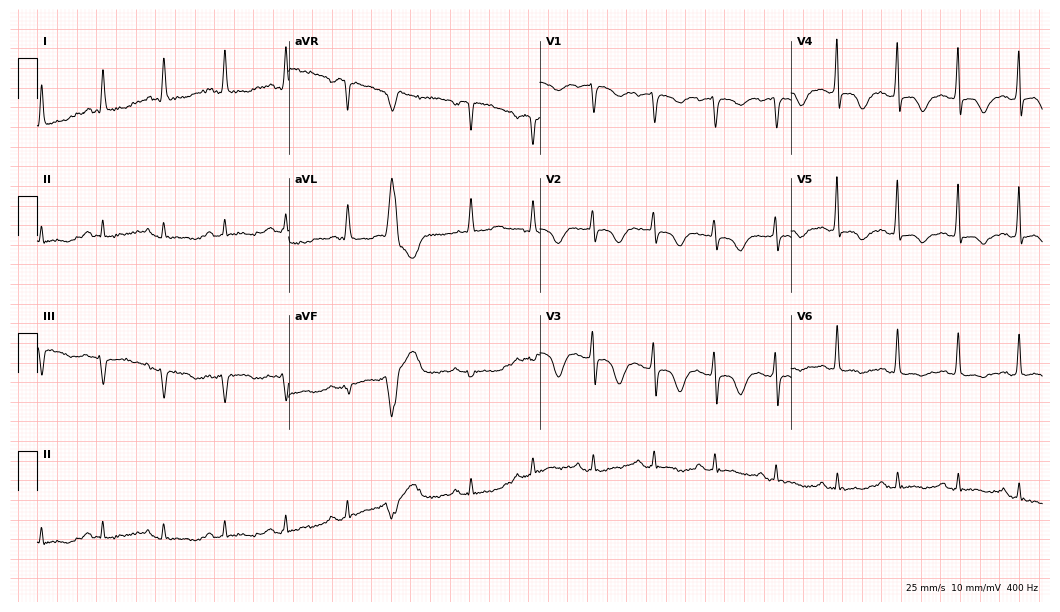
12-lead ECG from a female, 82 years old. No first-degree AV block, right bundle branch block (RBBB), left bundle branch block (LBBB), sinus bradycardia, atrial fibrillation (AF) or sinus tachycardia recorded for this tracing.